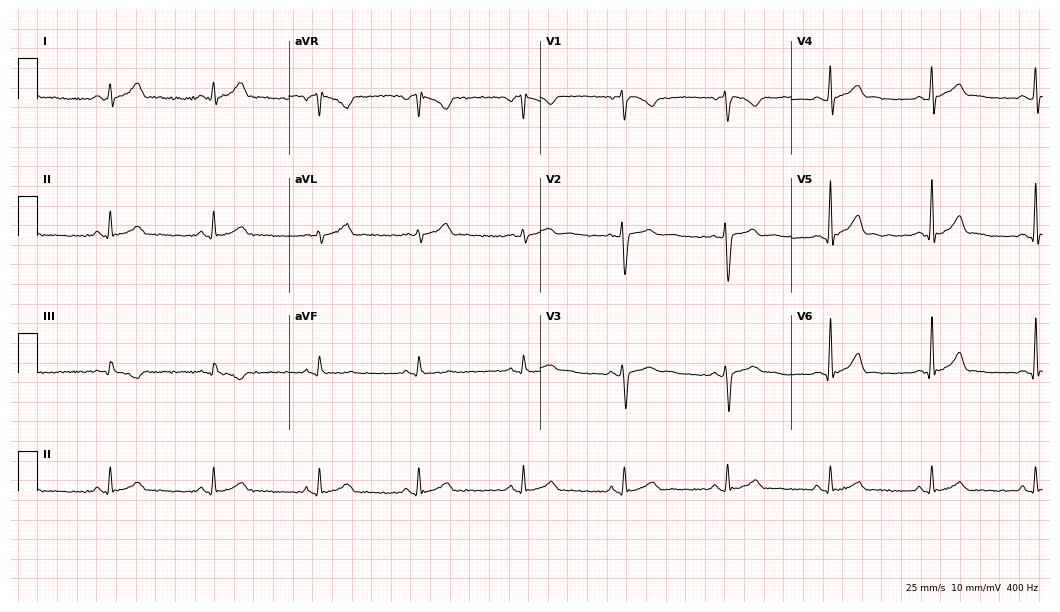
Electrocardiogram, a 22-year-old male. Overall reading on record: normal ECG.